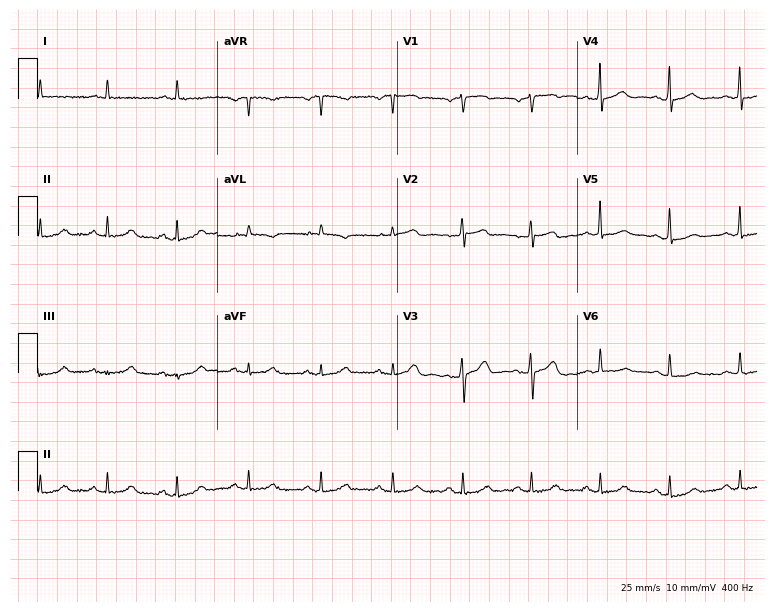
ECG — a 63-year-old male patient. Screened for six findings — first-degree AV block, right bundle branch block, left bundle branch block, sinus bradycardia, atrial fibrillation, sinus tachycardia — none is recorded.